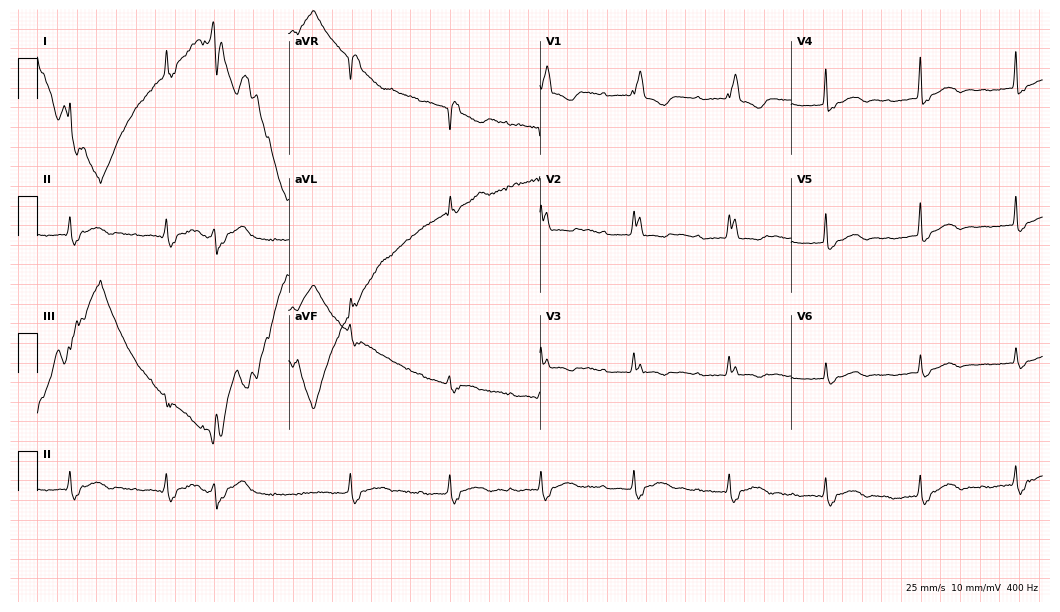
ECG — a 75-year-old woman. Screened for six findings — first-degree AV block, right bundle branch block (RBBB), left bundle branch block (LBBB), sinus bradycardia, atrial fibrillation (AF), sinus tachycardia — none is recorded.